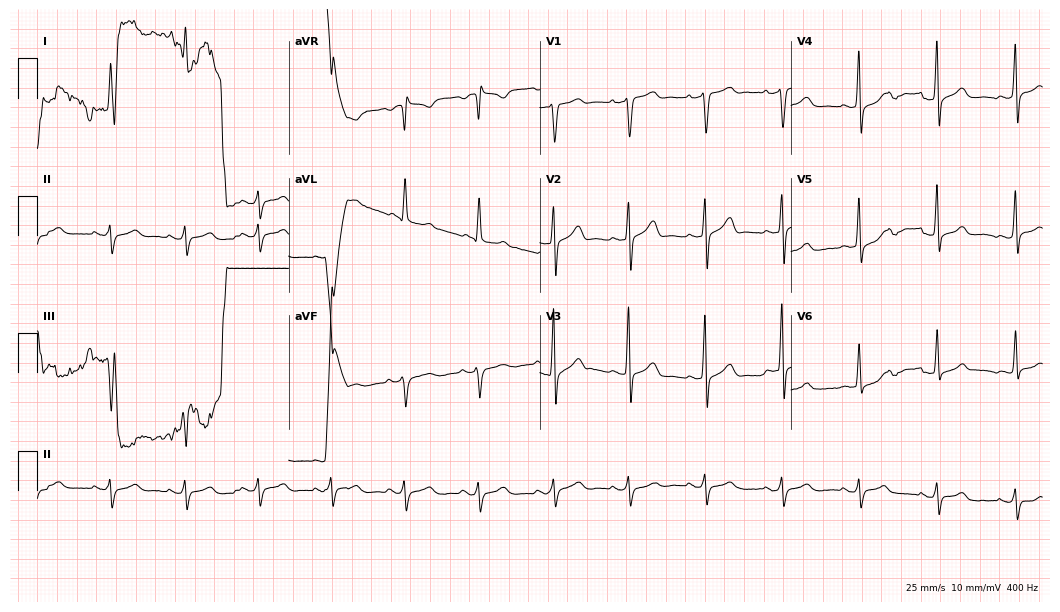
12-lead ECG (10.2-second recording at 400 Hz) from a 58-year-old male patient. Screened for six findings — first-degree AV block, right bundle branch block, left bundle branch block, sinus bradycardia, atrial fibrillation, sinus tachycardia — none is recorded. Only these six findings were labelled.